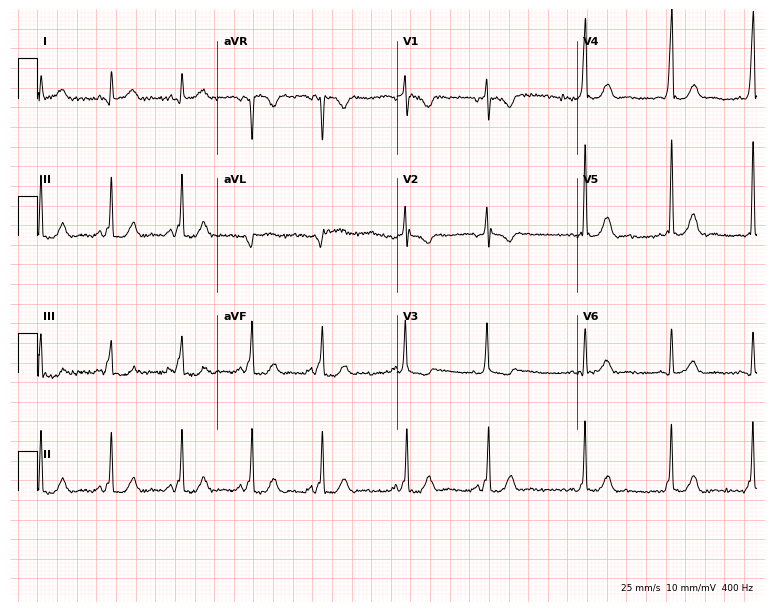
Resting 12-lead electrocardiogram. Patient: a 76-year-old female. None of these six findings is recorded: first-degree AV block, right bundle branch block, left bundle branch block, sinus bradycardia, atrial fibrillation, sinus tachycardia. Findings outside these six are not listed.